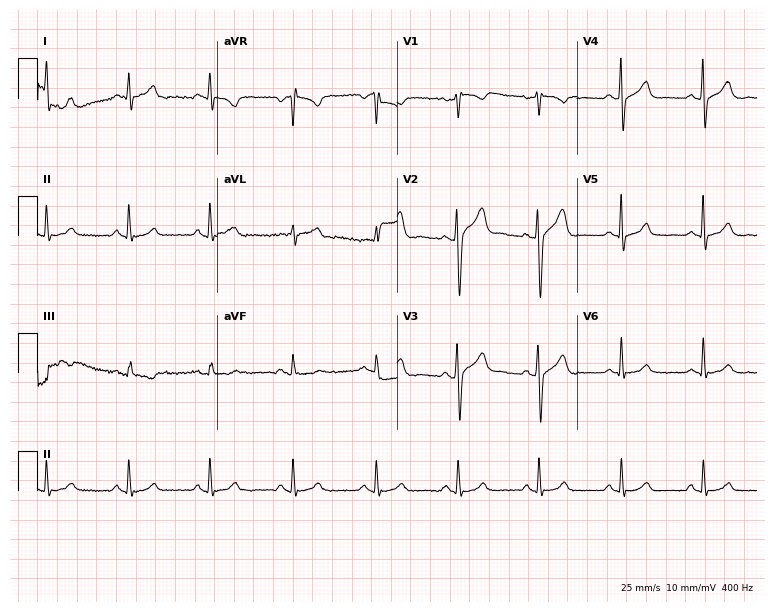
Electrocardiogram, a 55-year-old male. Overall reading on record: normal ECG.